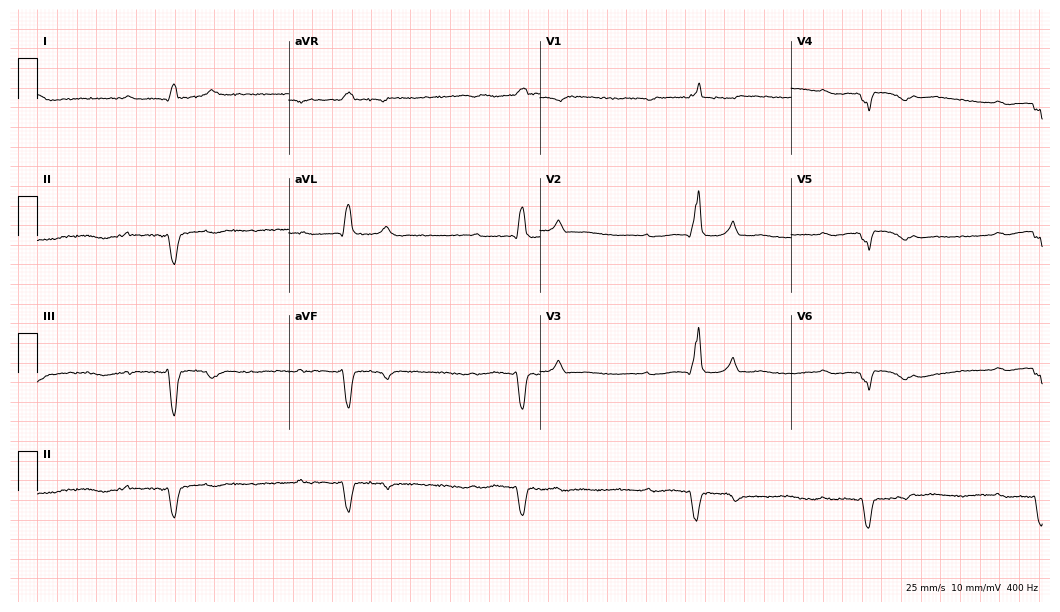
Resting 12-lead electrocardiogram. Patient: a 78-year-old male. The tracing shows right bundle branch block.